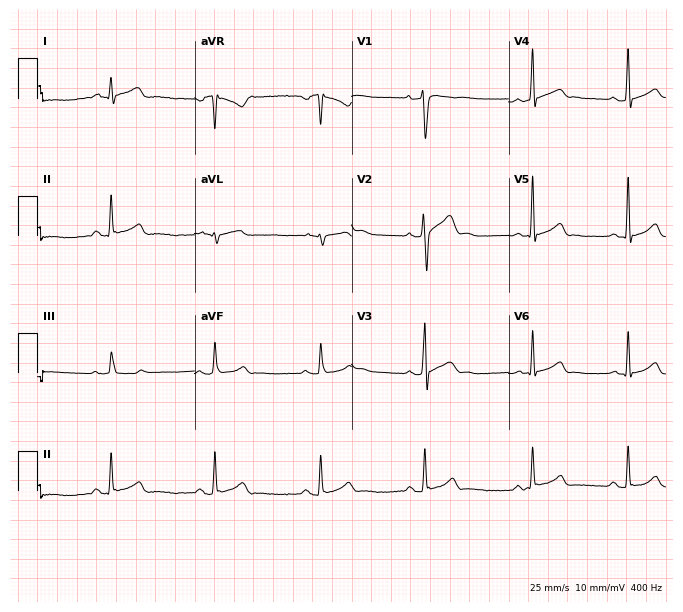
Electrocardiogram, a male patient, 20 years old. Overall reading on record: normal ECG.